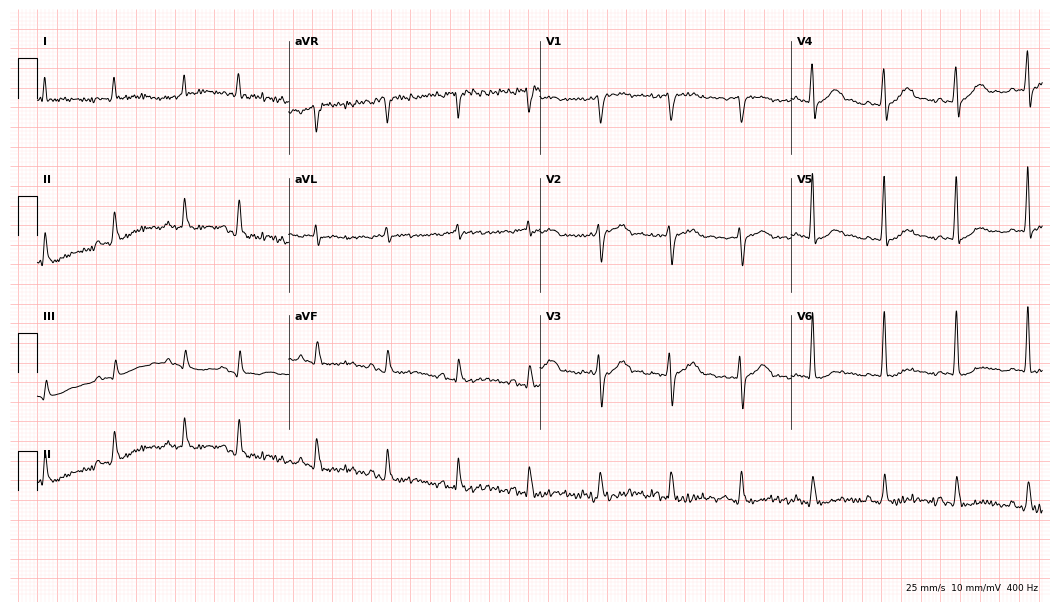
12-lead ECG from a 75-year-old male patient (10.2-second recording at 400 Hz). No first-degree AV block, right bundle branch block (RBBB), left bundle branch block (LBBB), sinus bradycardia, atrial fibrillation (AF) or sinus tachycardia recorded for this tracing. Findings outside these six are not listed.